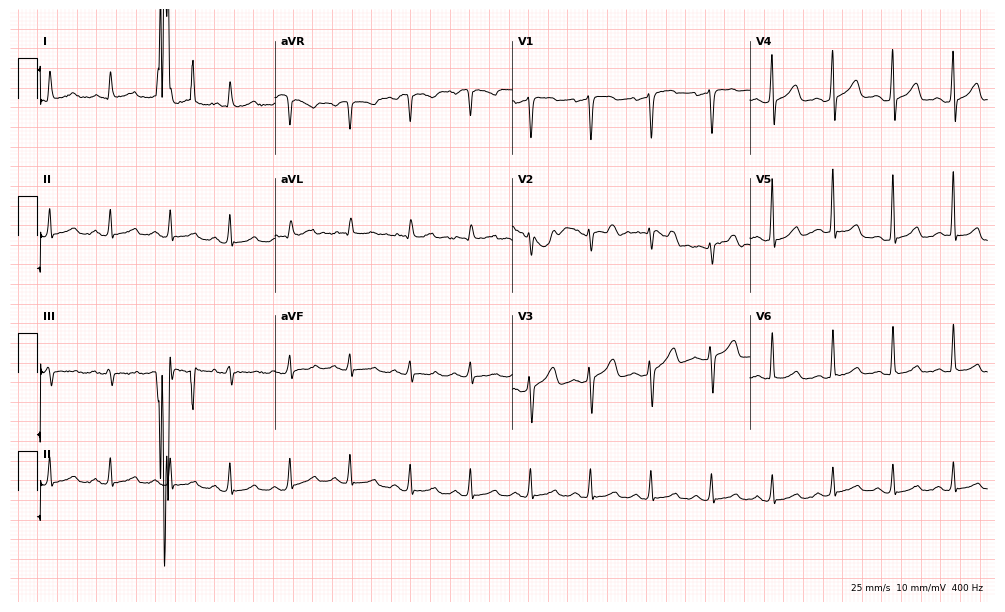
Resting 12-lead electrocardiogram. Patient: a male, 62 years old. None of these six findings is recorded: first-degree AV block, right bundle branch block, left bundle branch block, sinus bradycardia, atrial fibrillation, sinus tachycardia.